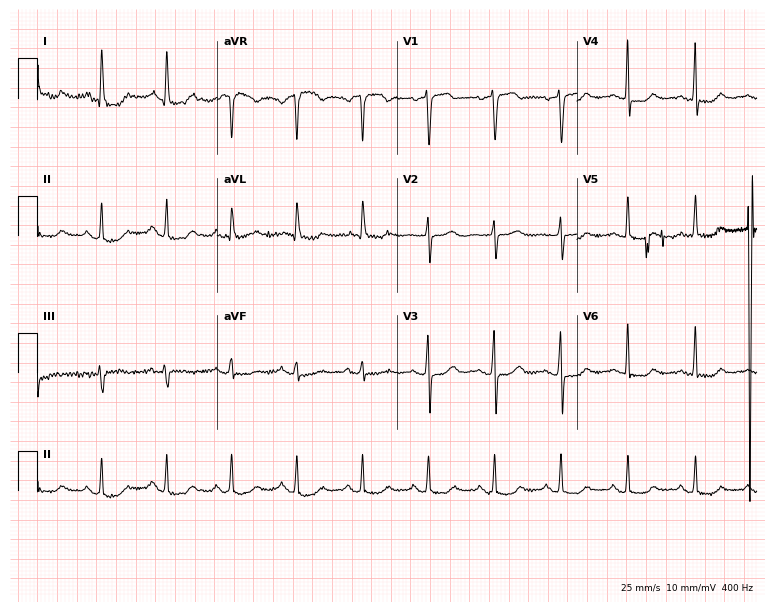
Standard 12-lead ECG recorded from a female patient, 83 years old (7.3-second recording at 400 Hz). None of these six findings is recorded: first-degree AV block, right bundle branch block, left bundle branch block, sinus bradycardia, atrial fibrillation, sinus tachycardia. Other findings, if any, are not listed.